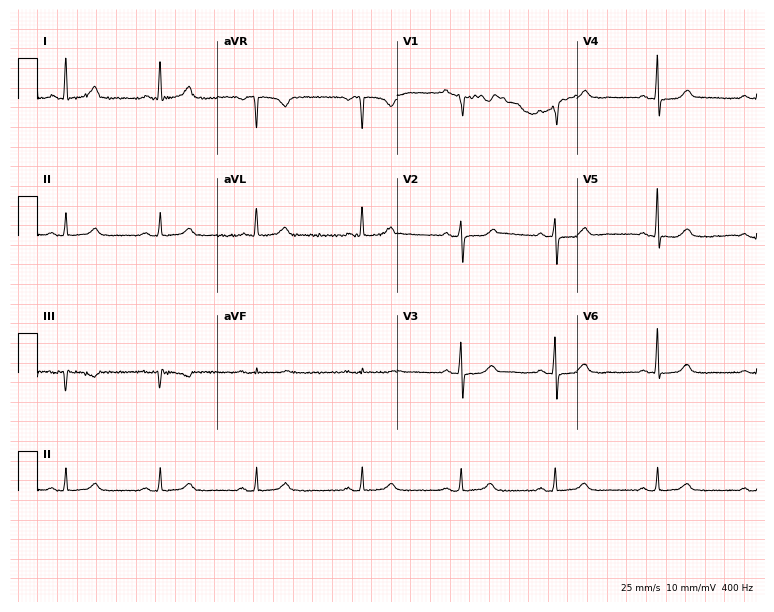
Electrocardiogram, a female patient, 65 years old. Overall reading on record: normal ECG.